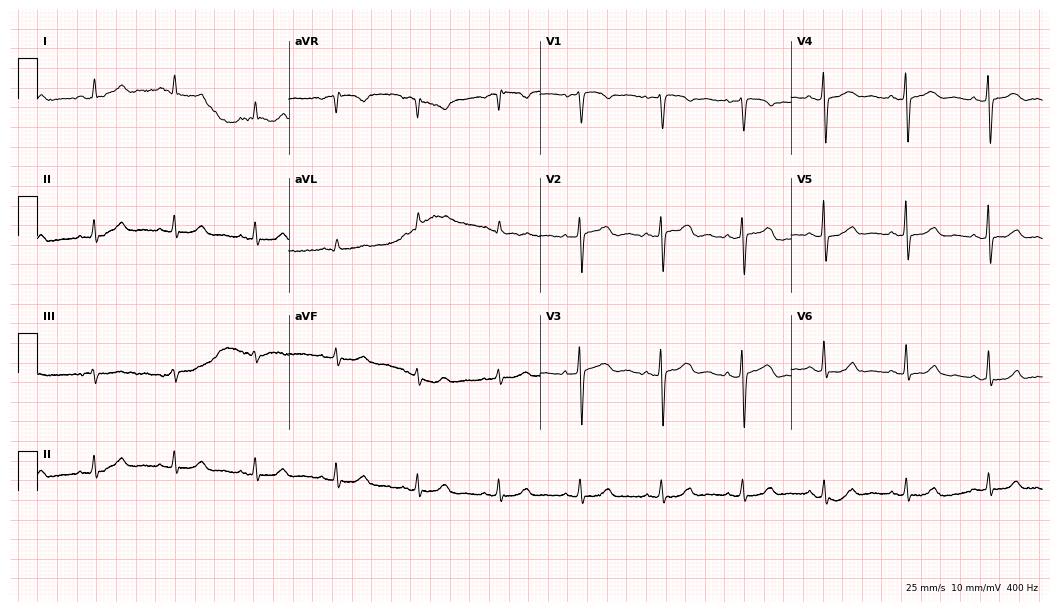
12-lead ECG from a 72-year-old female. Recorded interpretation: within normal limits.